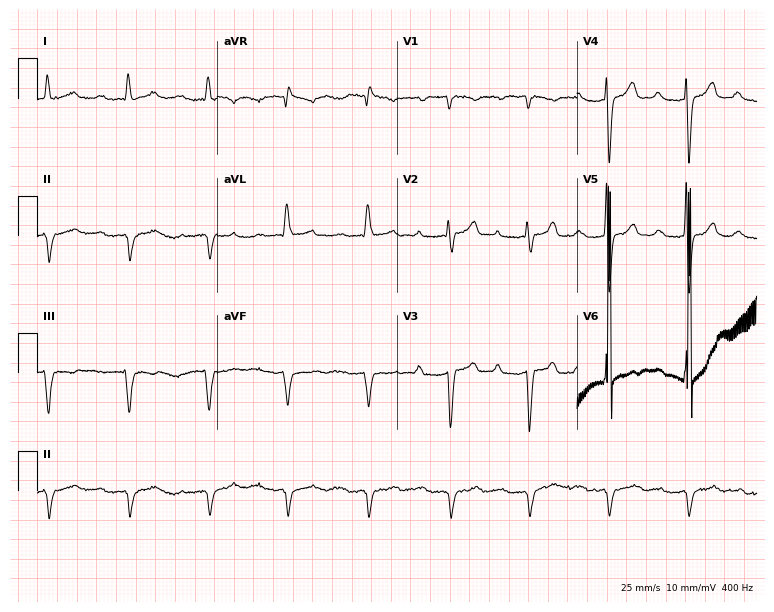
12-lead ECG from a male, 76 years old. Findings include first-degree AV block.